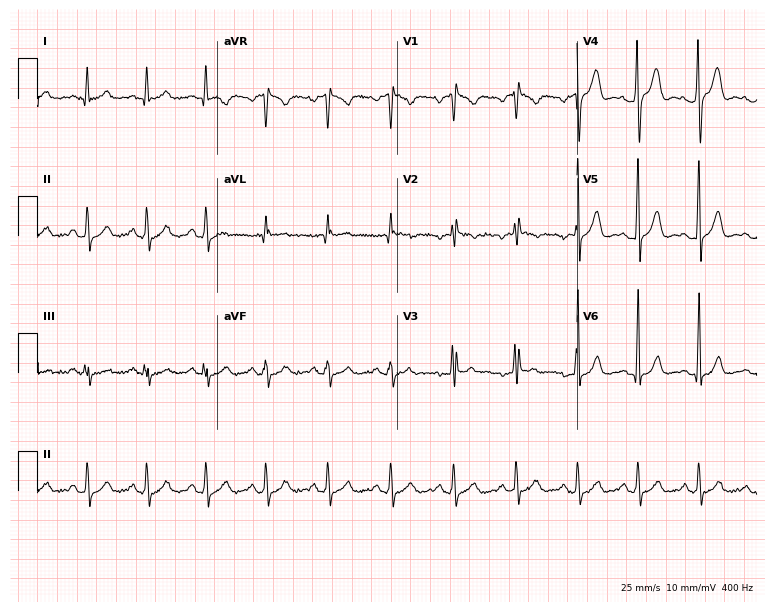
Standard 12-lead ECG recorded from a male, 42 years old. None of these six findings is recorded: first-degree AV block, right bundle branch block (RBBB), left bundle branch block (LBBB), sinus bradycardia, atrial fibrillation (AF), sinus tachycardia.